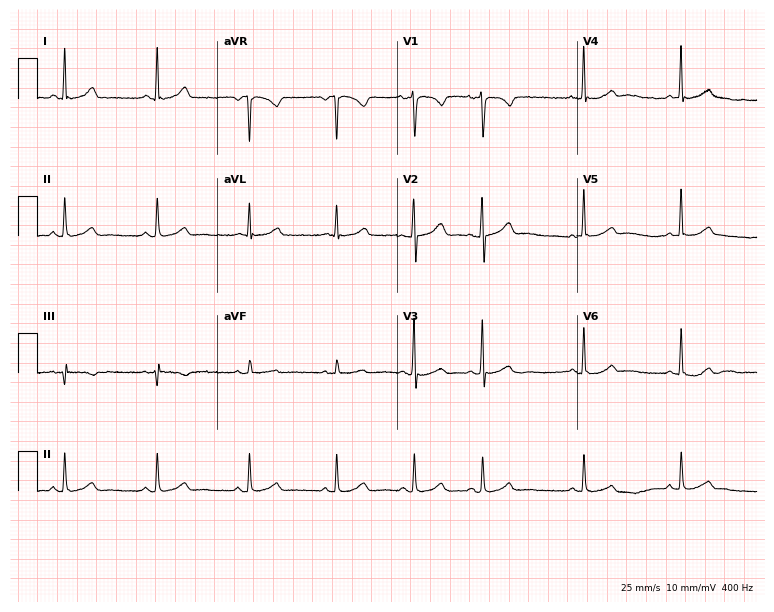
Electrocardiogram (7.3-second recording at 400 Hz), a 28-year-old female. Of the six screened findings (first-degree AV block, right bundle branch block, left bundle branch block, sinus bradycardia, atrial fibrillation, sinus tachycardia), none is recorded. Other findings, if any, are not listed.